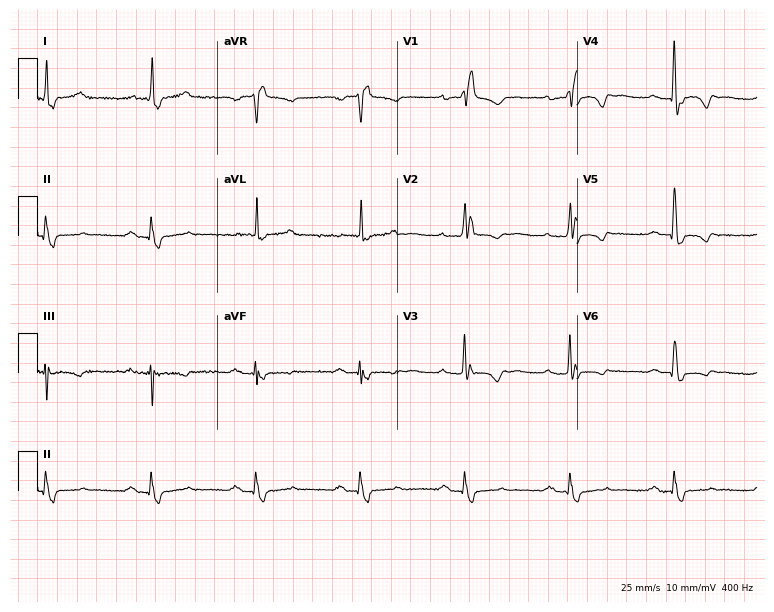
12-lead ECG from a 67-year-old male. Findings include right bundle branch block.